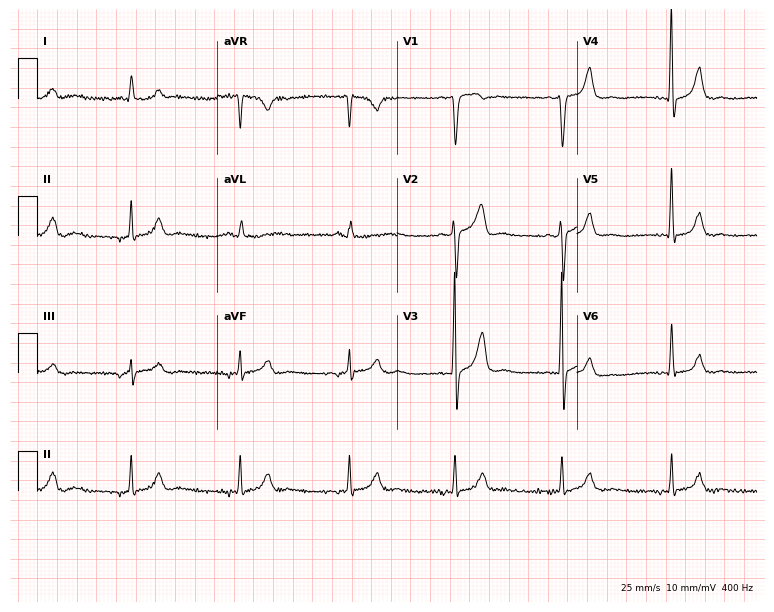
Resting 12-lead electrocardiogram (7.3-second recording at 400 Hz). Patient: a 62-year-old man. None of these six findings is recorded: first-degree AV block, right bundle branch block (RBBB), left bundle branch block (LBBB), sinus bradycardia, atrial fibrillation (AF), sinus tachycardia. Findings outside these six are not listed.